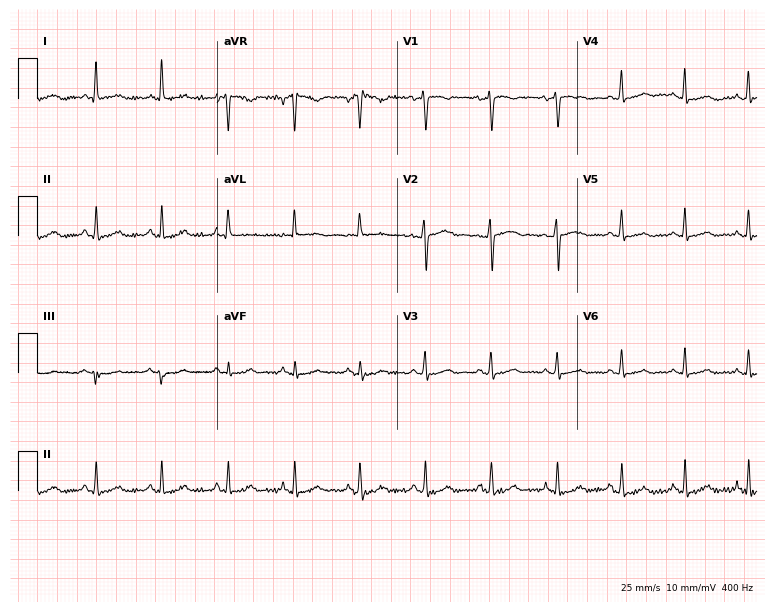
ECG — a female patient, 41 years old. Labelled as a normal ECG.